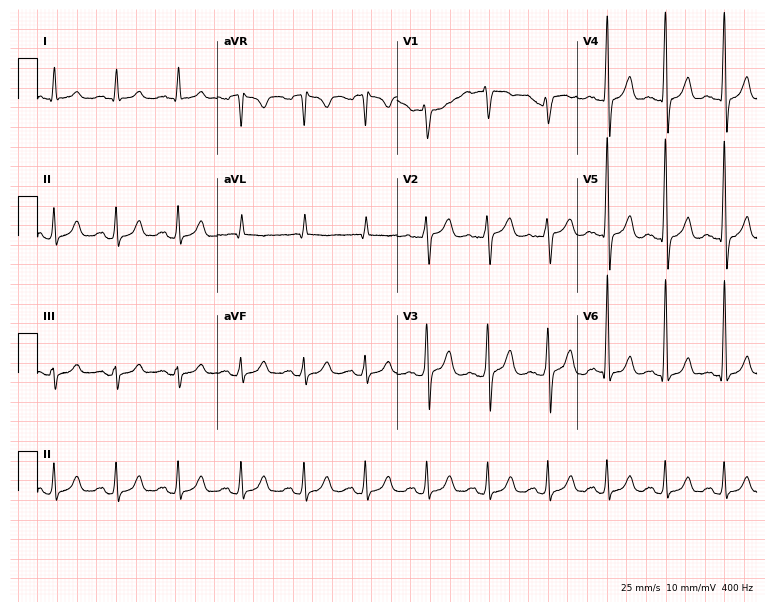
12-lead ECG (7.3-second recording at 400 Hz) from a man, 55 years old. Labelled as a normal ECG.